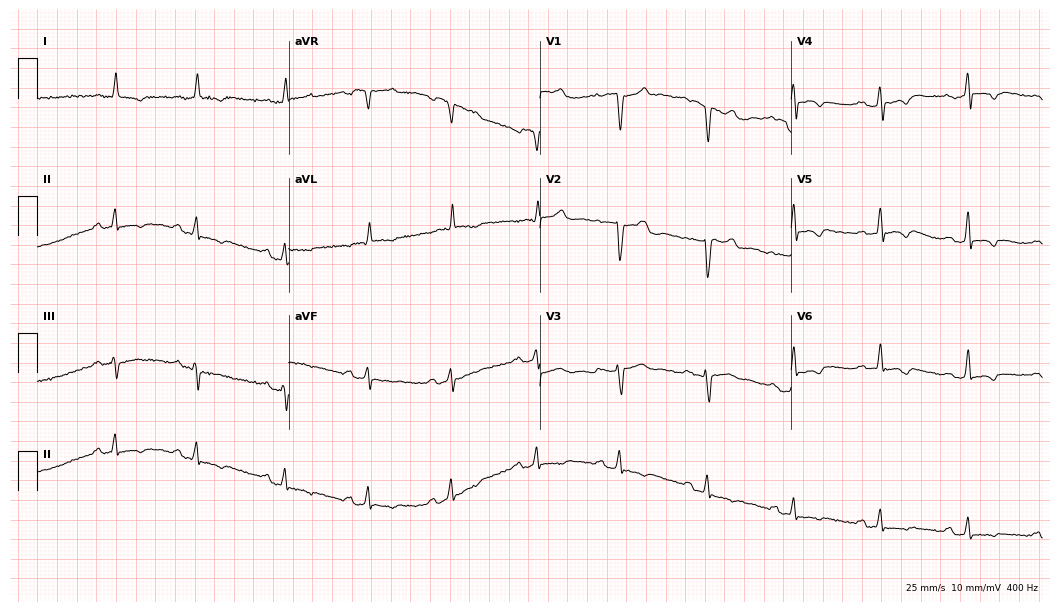
Standard 12-lead ECG recorded from a male patient, 38 years old (10.2-second recording at 400 Hz). None of these six findings is recorded: first-degree AV block, right bundle branch block, left bundle branch block, sinus bradycardia, atrial fibrillation, sinus tachycardia. Only these six findings were labelled.